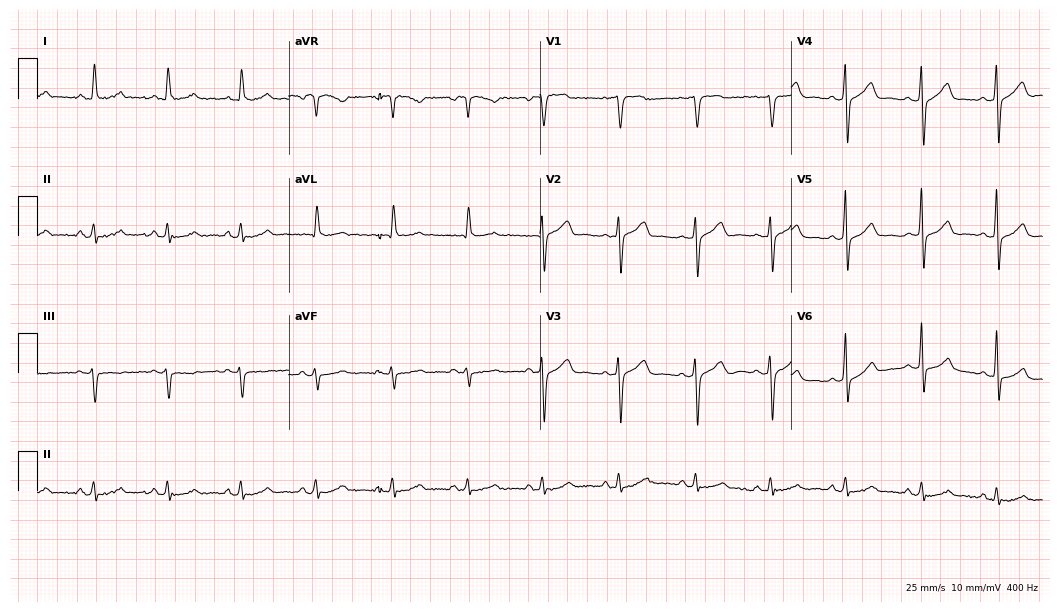
Resting 12-lead electrocardiogram (10.2-second recording at 400 Hz). Patient: a woman, 59 years old. Read as a normal ECG.